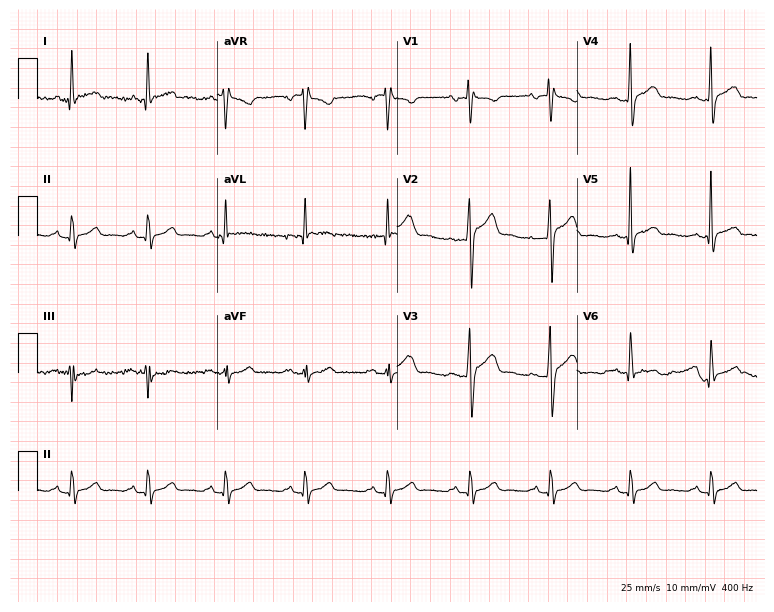
12-lead ECG from a 48-year-old male (7.3-second recording at 400 Hz). Recorded interpretation: within normal limits.